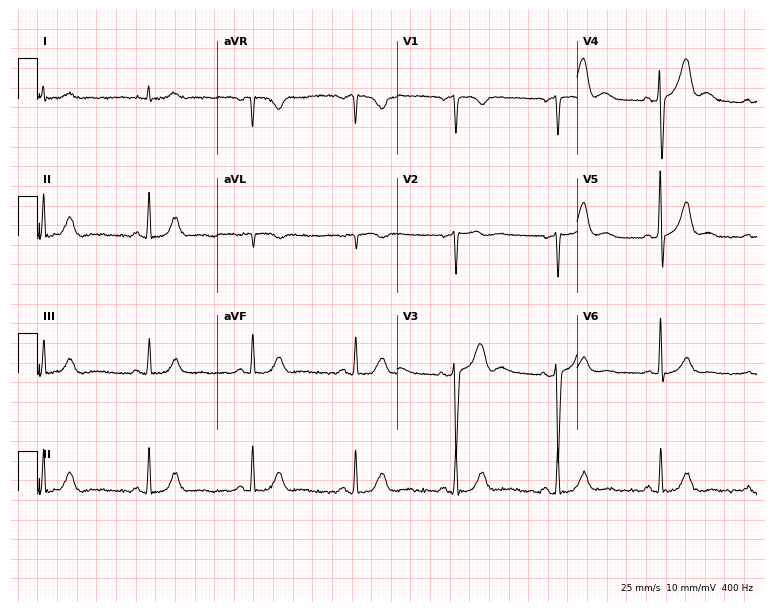
12-lead ECG from a male, 58 years old. Screened for six findings — first-degree AV block, right bundle branch block, left bundle branch block, sinus bradycardia, atrial fibrillation, sinus tachycardia — none is recorded. Other findings, if any, are not listed.